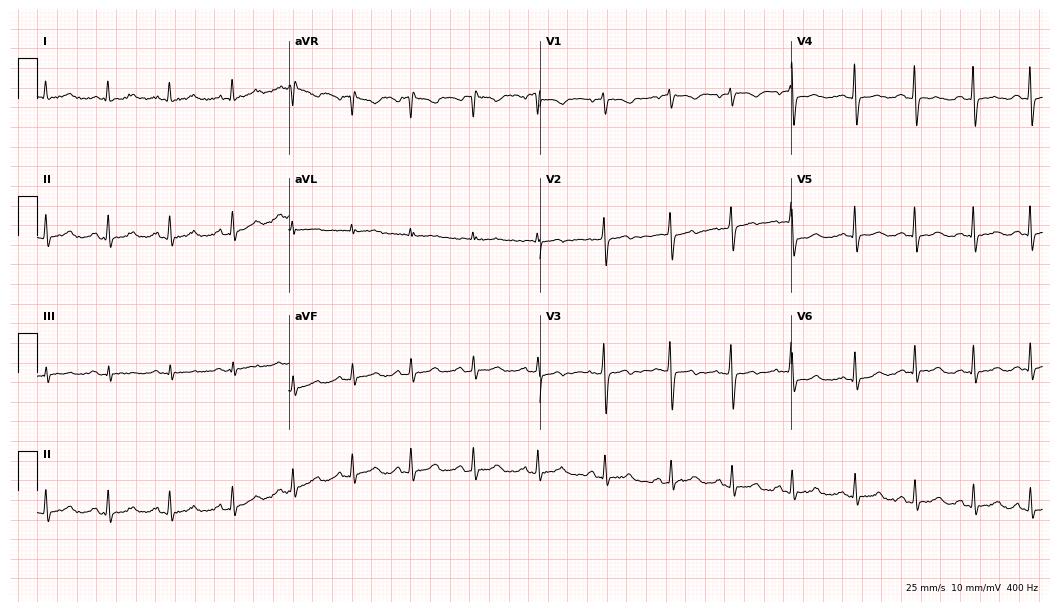
Electrocardiogram, a 38-year-old female patient. Of the six screened findings (first-degree AV block, right bundle branch block (RBBB), left bundle branch block (LBBB), sinus bradycardia, atrial fibrillation (AF), sinus tachycardia), none is recorded.